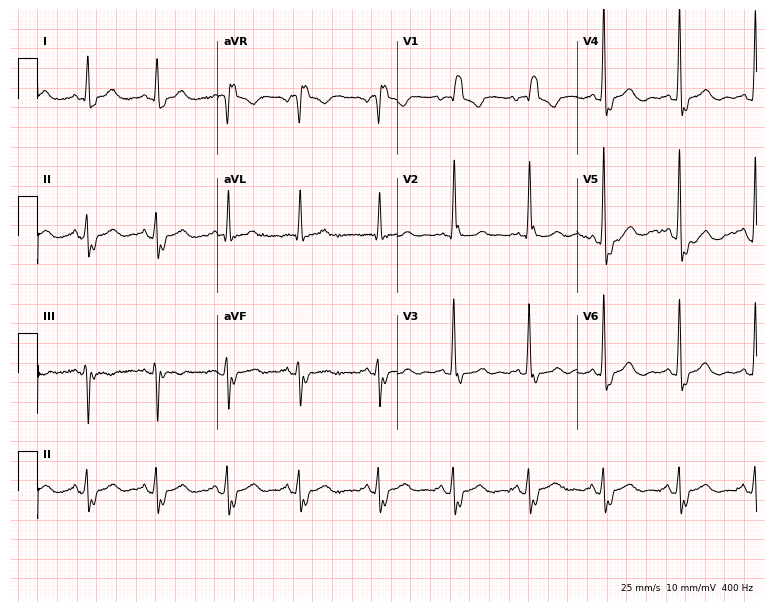
Electrocardiogram, a female patient, 82 years old. Interpretation includes right bundle branch block.